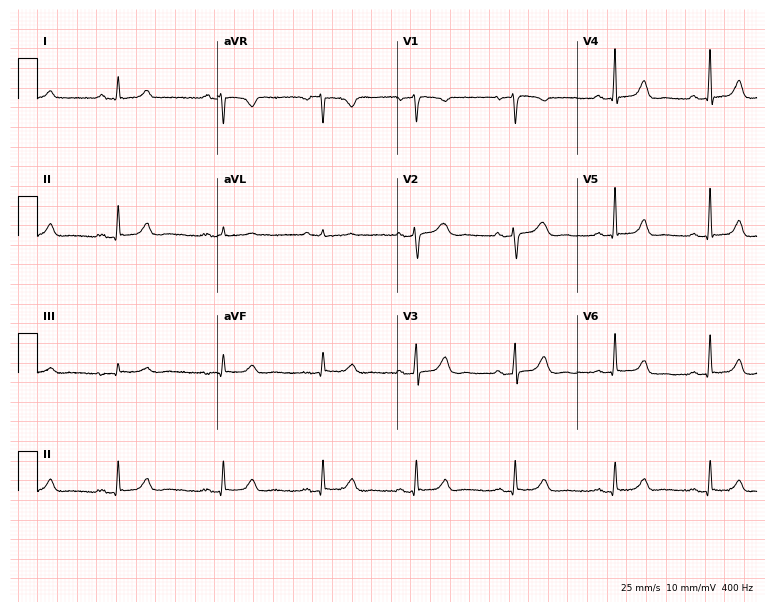
ECG (7.3-second recording at 400 Hz) — a woman, 59 years old. Labelled as a normal ECG.